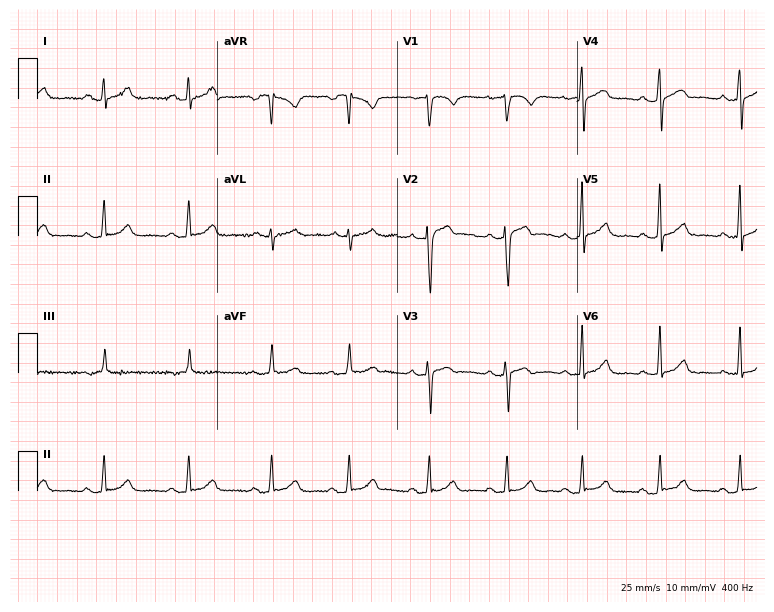
12-lead ECG from a 42-year-old female patient. No first-degree AV block, right bundle branch block, left bundle branch block, sinus bradycardia, atrial fibrillation or sinus tachycardia recorded for this tracing.